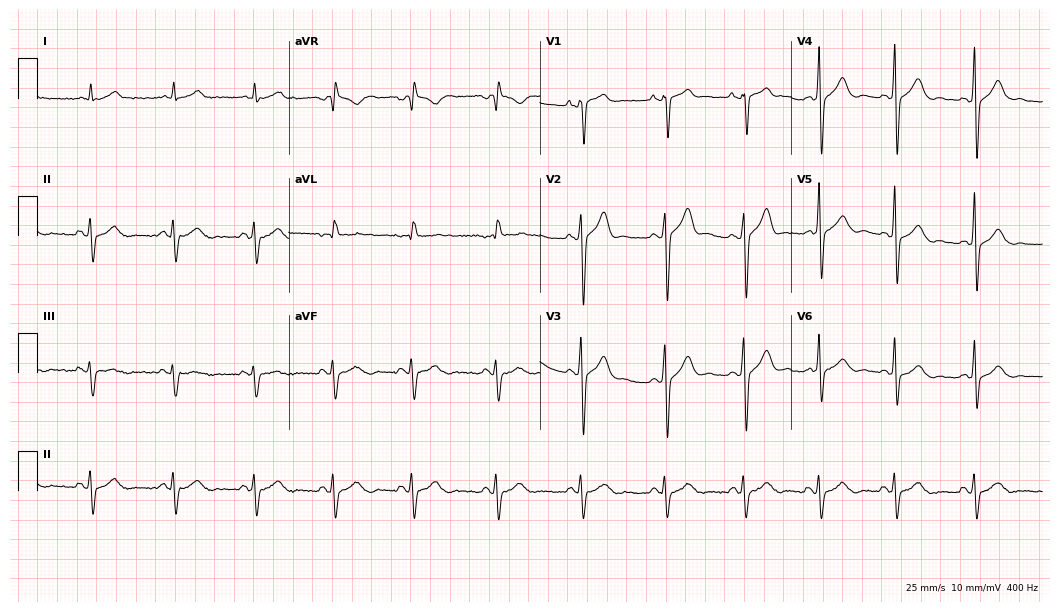
Resting 12-lead electrocardiogram (10.2-second recording at 400 Hz). Patient: a 53-year-old male. None of these six findings is recorded: first-degree AV block, right bundle branch block, left bundle branch block, sinus bradycardia, atrial fibrillation, sinus tachycardia. Only these six findings were labelled.